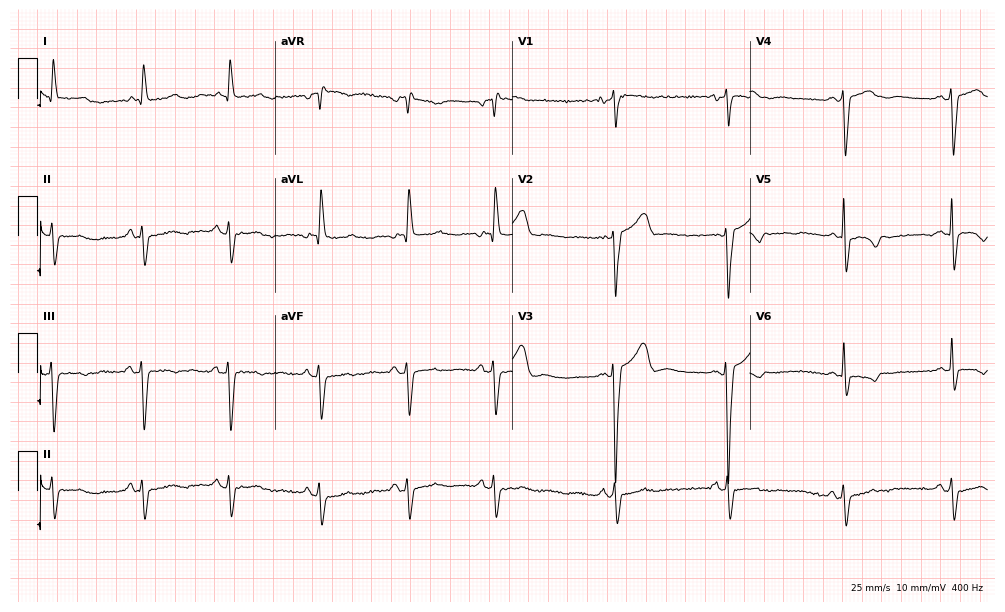
Resting 12-lead electrocardiogram (9.7-second recording at 400 Hz). Patient: a 79-year-old woman. None of these six findings is recorded: first-degree AV block, right bundle branch block, left bundle branch block, sinus bradycardia, atrial fibrillation, sinus tachycardia. Findings outside these six are not listed.